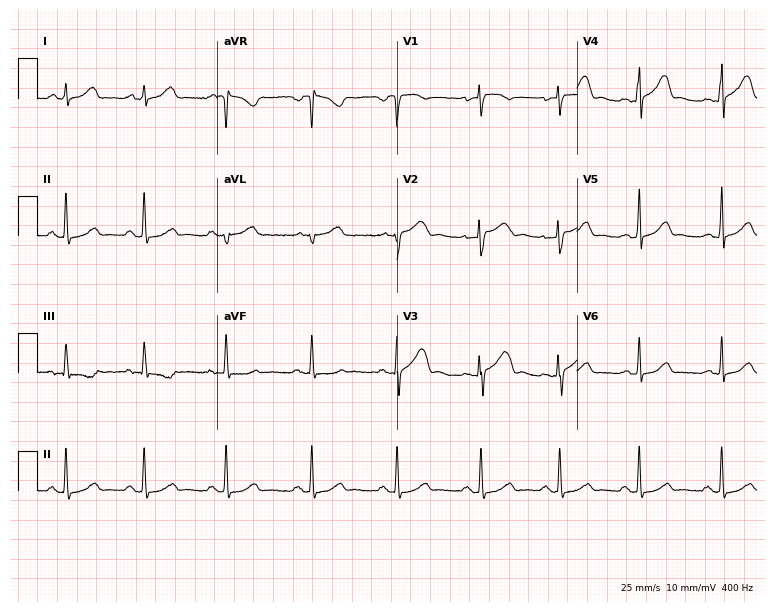
ECG (7.3-second recording at 400 Hz) — a female, 21 years old. Screened for six findings — first-degree AV block, right bundle branch block, left bundle branch block, sinus bradycardia, atrial fibrillation, sinus tachycardia — none is recorded.